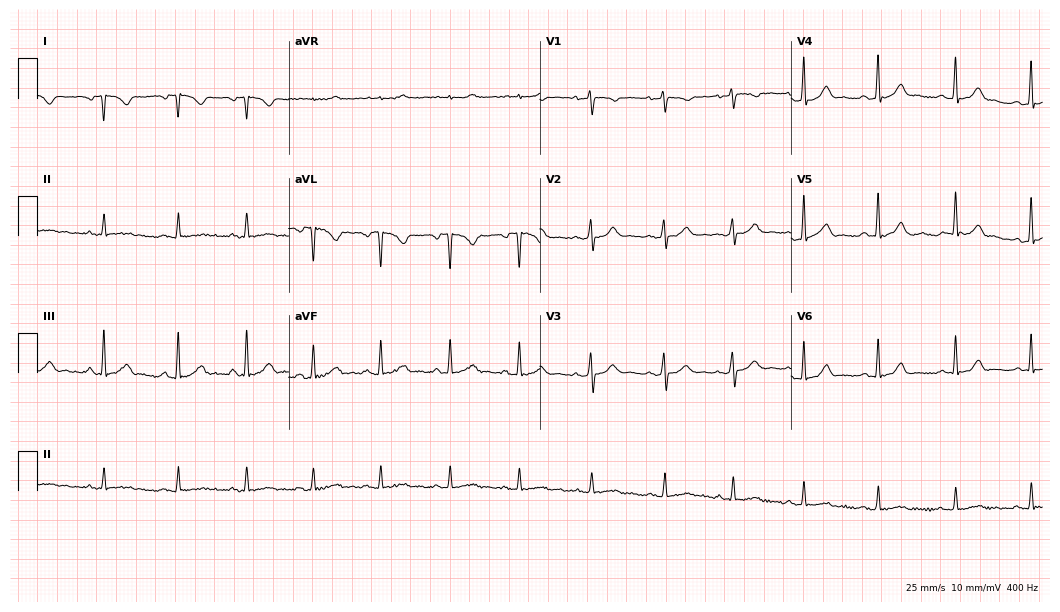
12-lead ECG from a female, 27 years old. Screened for six findings — first-degree AV block, right bundle branch block, left bundle branch block, sinus bradycardia, atrial fibrillation, sinus tachycardia — none is recorded.